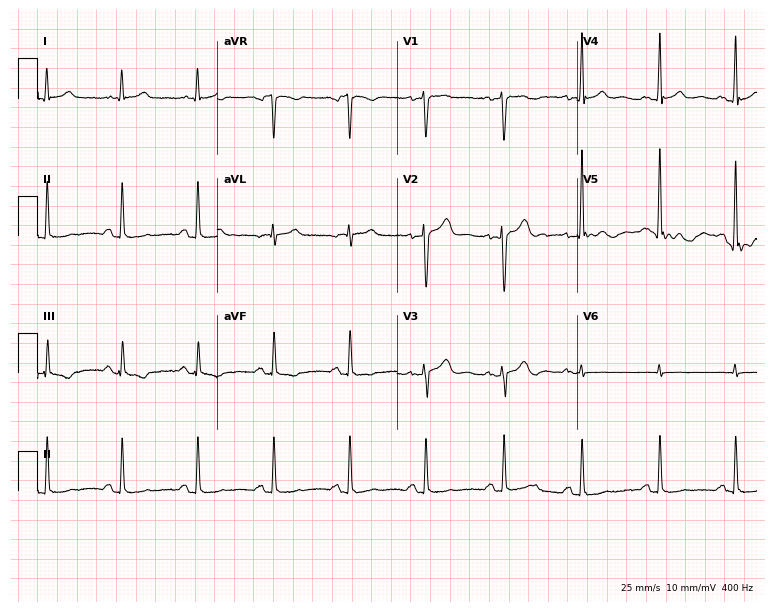
Electrocardiogram, a 49-year-old male patient. Of the six screened findings (first-degree AV block, right bundle branch block, left bundle branch block, sinus bradycardia, atrial fibrillation, sinus tachycardia), none is recorded.